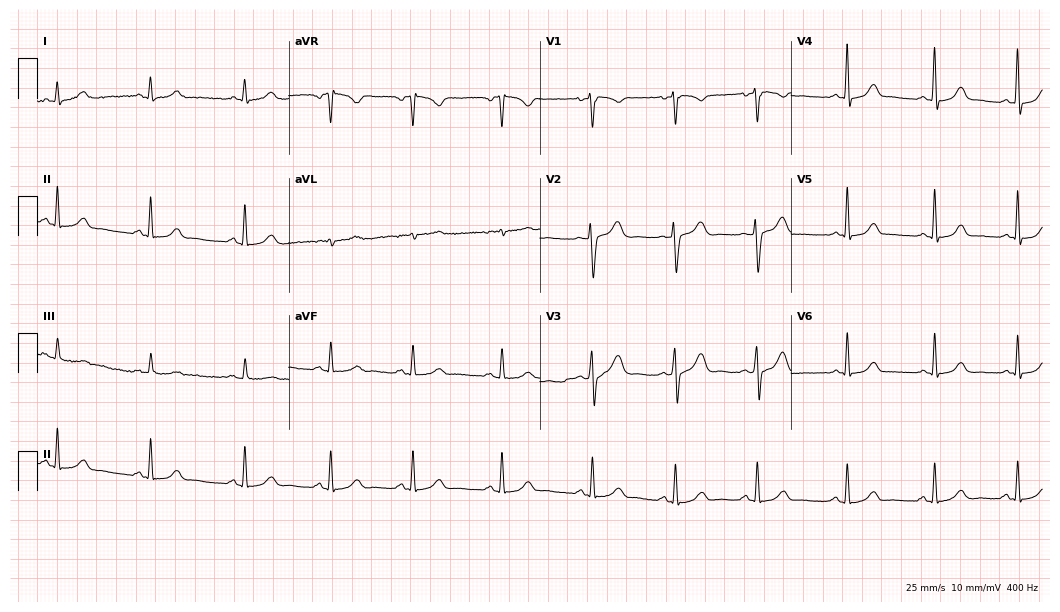
Standard 12-lead ECG recorded from a 37-year-old female (10.2-second recording at 400 Hz). None of these six findings is recorded: first-degree AV block, right bundle branch block (RBBB), left bundle branch block (LBBB), sinus bradycardia, atrial fibrillation (AF), sinus tachycardia. Findings outside these six are not listed.